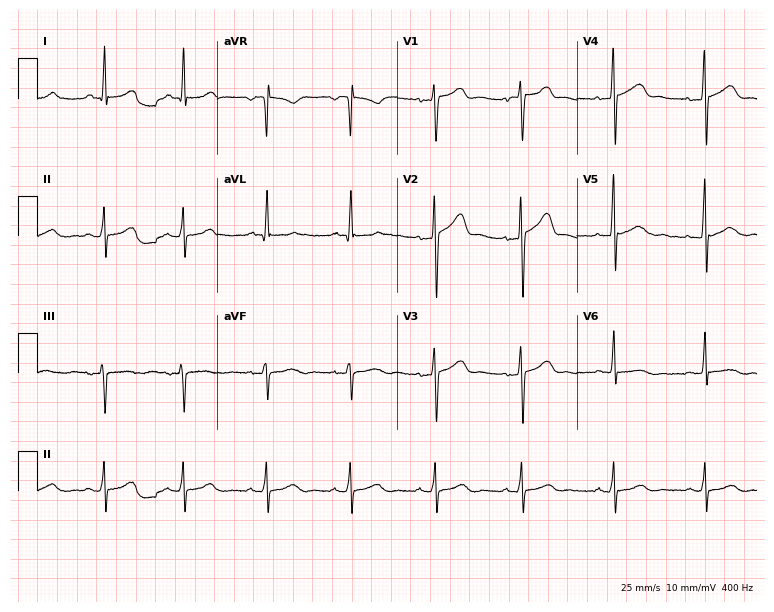
ECG (7.3-second recording at 400 Hz) — a 41-year-old male. Screened for six findings — first-degree AV block, right bundle branch block, left bundle branch block, sinus bradycardia, atrial fibrillation, sinus tachycardia — none is recorded. Other findings, if any, are not listed.